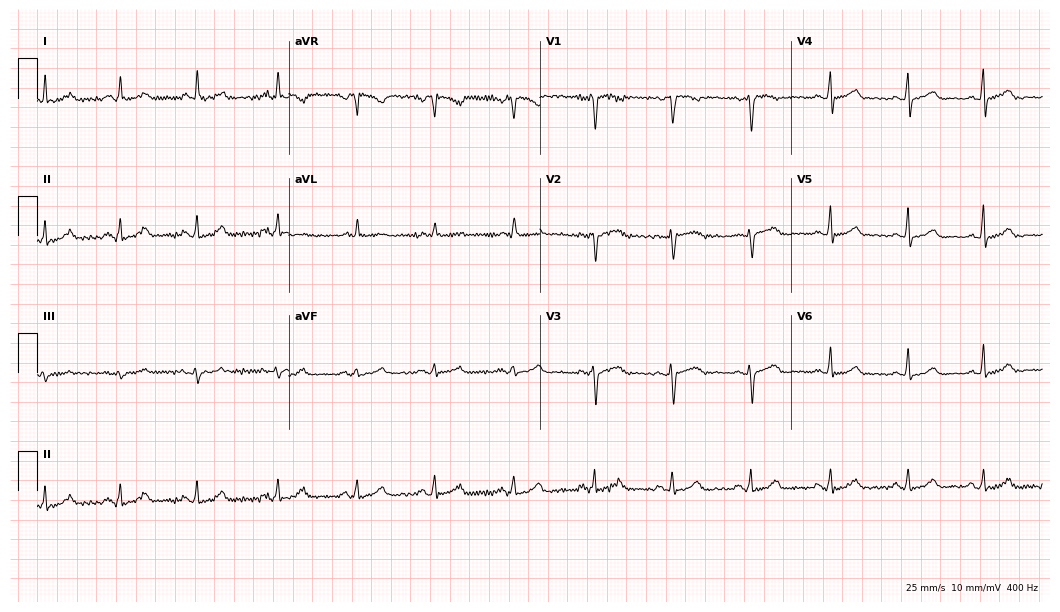
12-lead ECG from a woman, 51 years old (10.2-second recording at 400 Hz). Recorded interpretation: within normal limits.